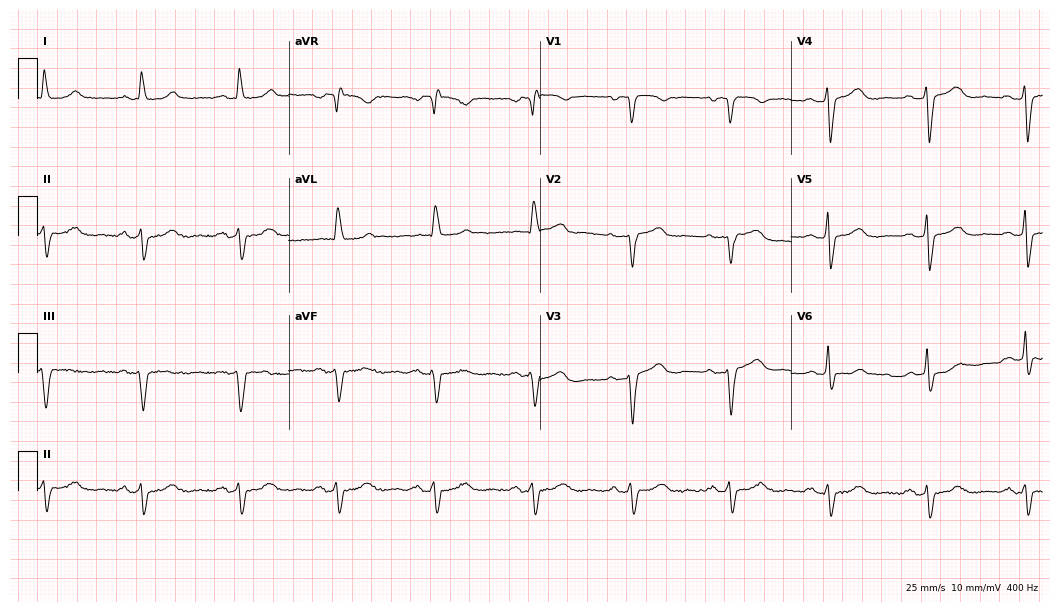
ECG (10.2-second recording at 400 Hz) — a female patient, 82 years old. Screened for six findings — first-degree AV block, right bundle branch block (RBBB), left bundle branch block (LBBB), sinus bradycardia, atrial fibrillation (AF), sinus tachycardia — none is recorded.